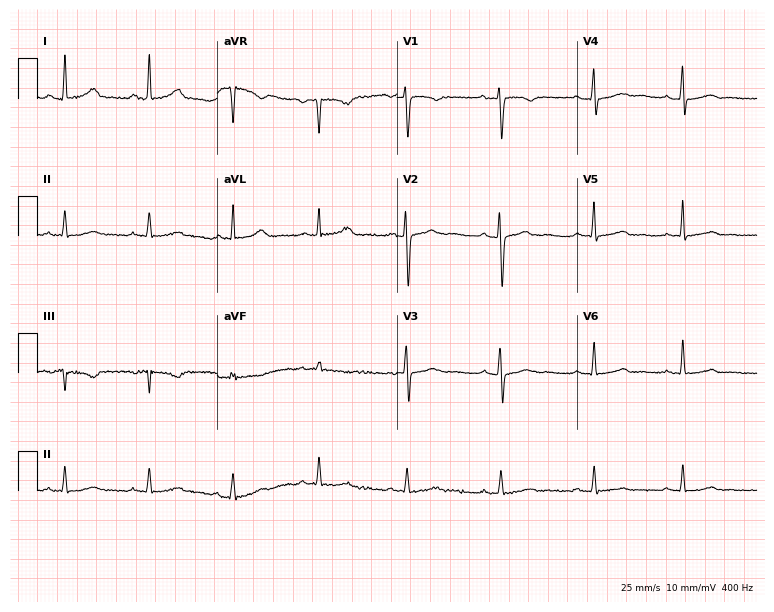
Resting 12-lead electrocardiogram. Patient: a 45-year-old woman. Read as a normal ECG.